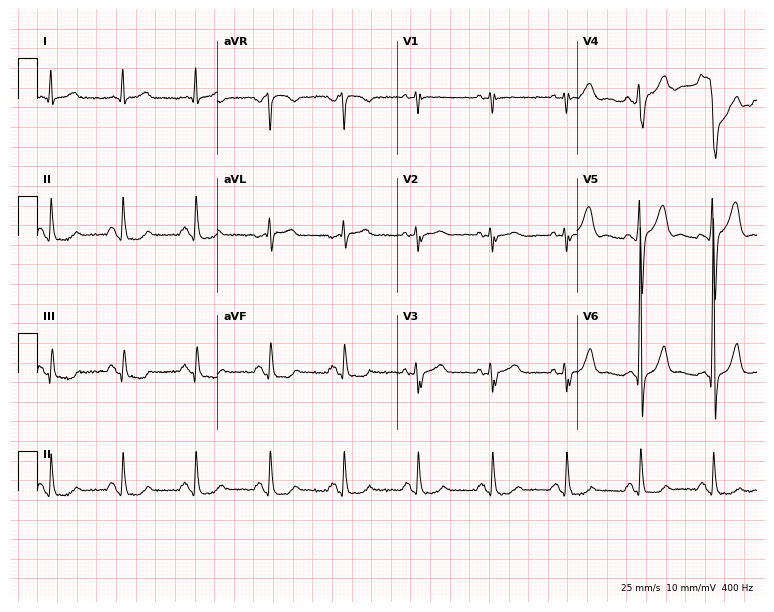
Standard 12-lead ECG recorded from a man, 76 years old (7.3-second recording at 400 Hz). None of these six findings is recorded: first-degree AV block, right bundle branch block (RBBB), left bundle branch block (LBBB), sinus bradycardia, atrial fibrillation (AF), sinus tachycardia.